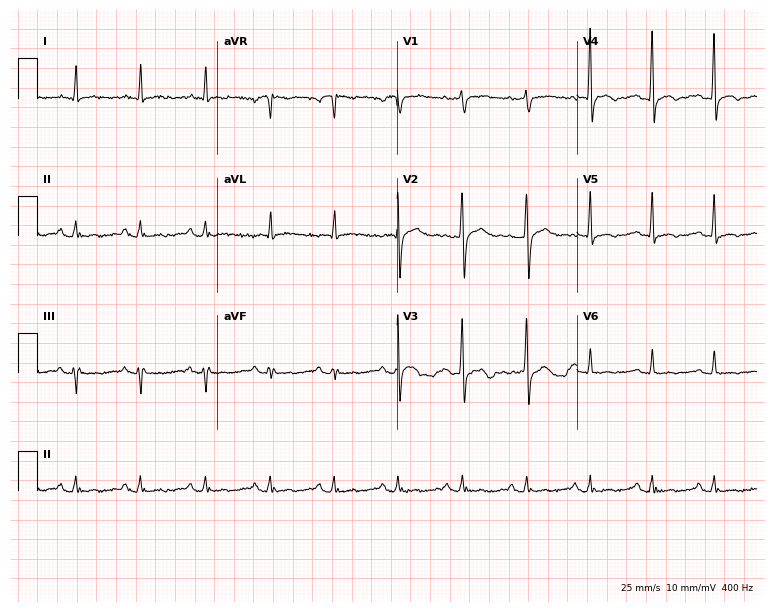
Resting 12-lead electrocardiogram. Patient: a 52-year-old man. None of these six findings is recorded: first-degree AV block, right bundle branch block (RBBB), left bundle branch block (LBBB), sinus bradycardia, atrial fibrillation (AF), sinus tachycardia.